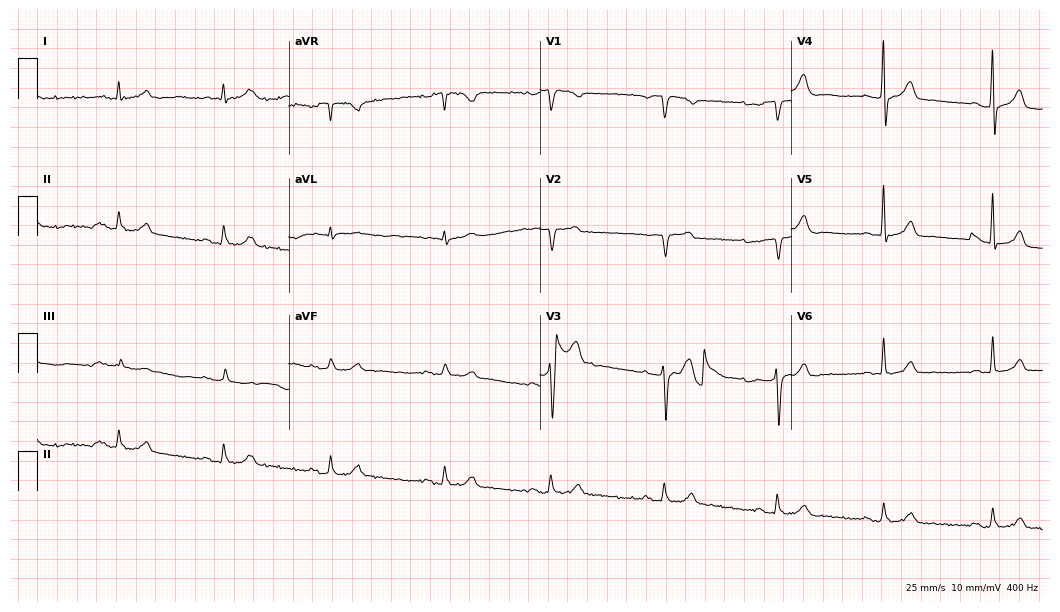
ECG (10.2-second recording at 400 Hz) — a 48-year-old male patient. Screened for six findings — first-degree AV block, right bundle branch block (RBBB), left bundle branch block (LBBB), sinus bradycardia, atrial fibrillation (AF), sinus tachycardia — none is recorded. Findings outside these six are not listed.